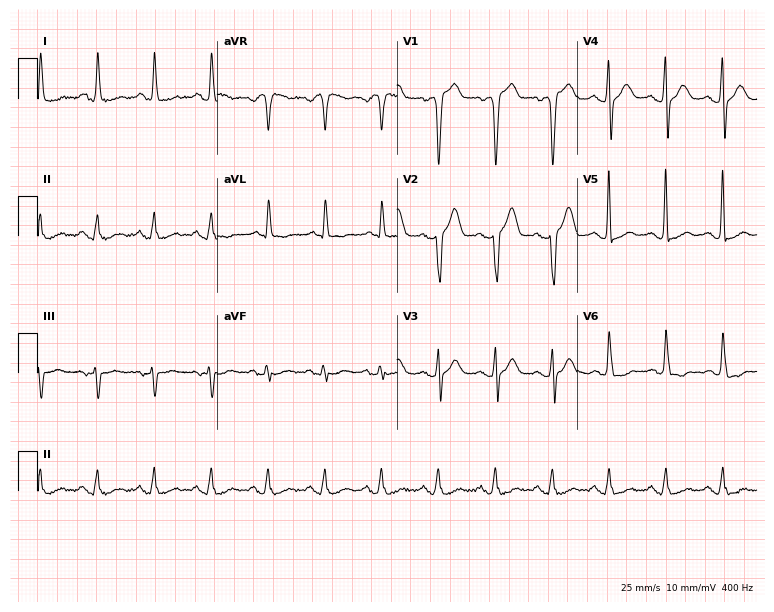
12-lead ECG from a 47-year-old male. No first-degree AV block, right bundle branch block, left bundle branch block, sinus bradycardia, atrial fibrillation or sinus tachycardia recorded for this tracing. Other findings, if any, are not listed.